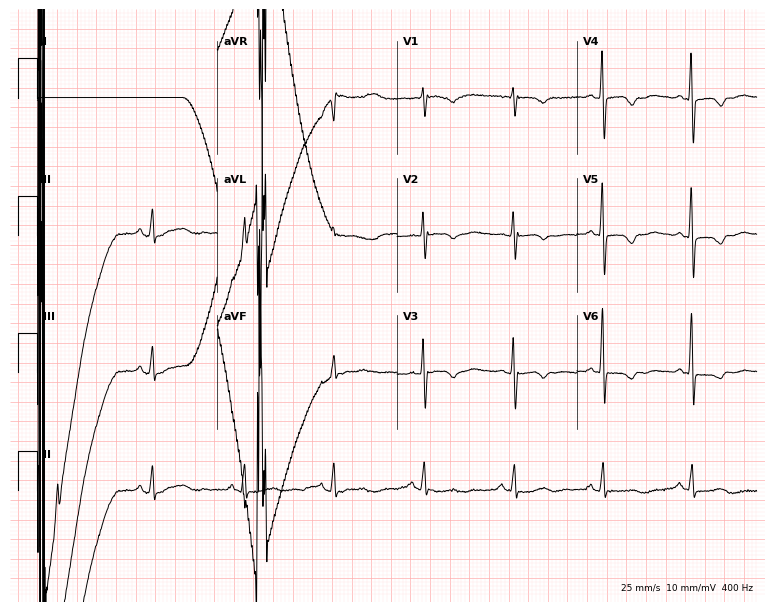
Electrocardiogram, a woman, 52 years old. Of the six screened findings (first-degree AV block, right bundle branch block (RBBB), left bundle branch block (LBBB), sinus bradycardia, atrial fibrillation (AF), sinus tachycardia), none is recorded. Findings outside these six are not listed.